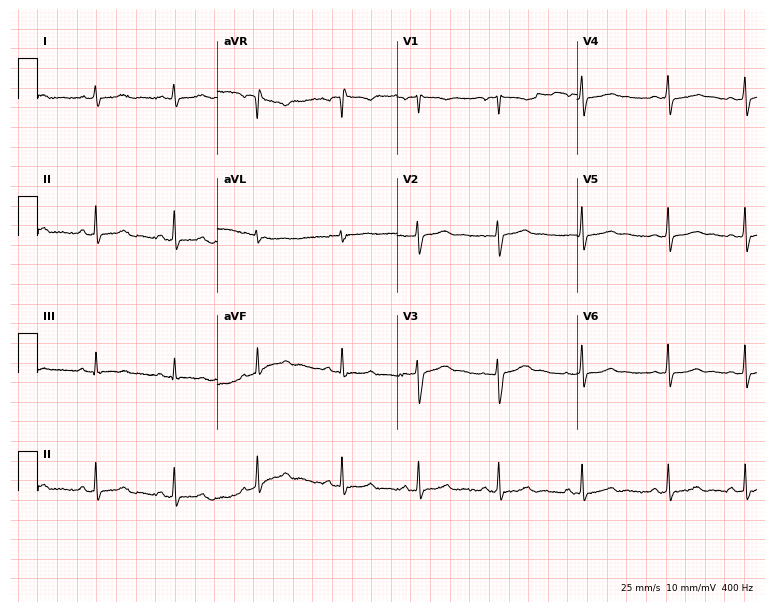
12-lead ECG from a 26-year-old female (7.3-second recording at 400 Hz). No first-degree AV block, right bundle branch block (RBBB), left bundle branch block (LBBB), sinus bradycardia, atrial fibrillation (AF) or sinus tachycardia recorded for this tracing. Other findings, if any, are not listed.